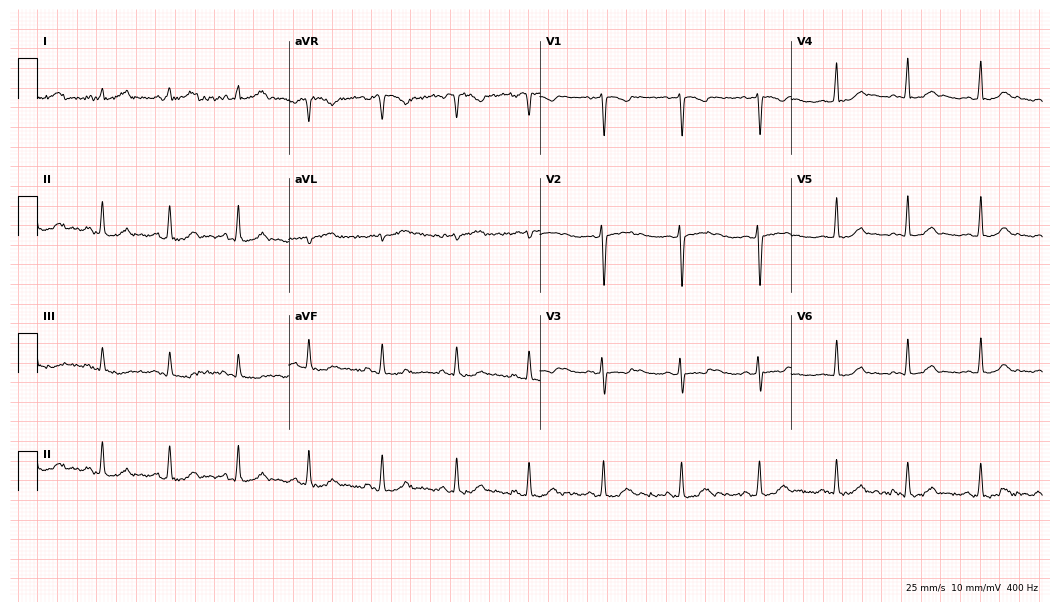
Standard 12-lead ECG recorded from a woman, 30 years old (10.2-second recording at 400 Hz). Read as a normal ECG.